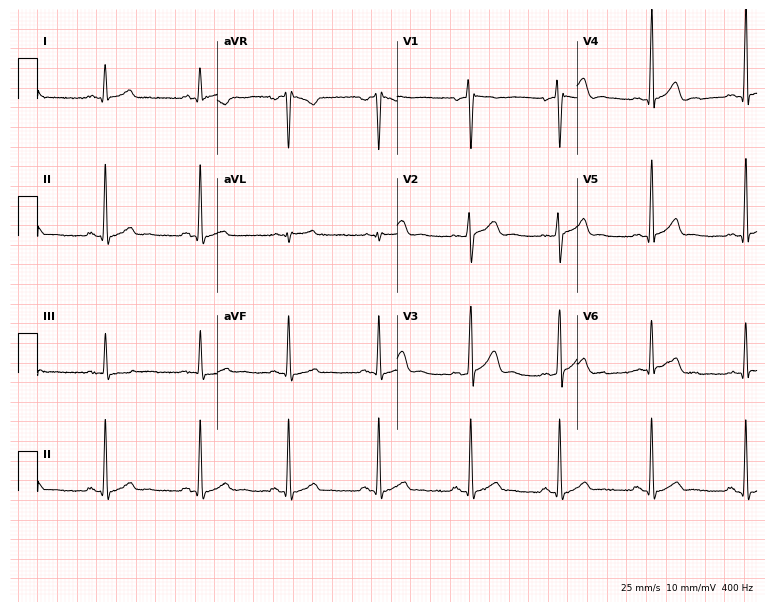
ECG — a 22-year-old male patient. Labelled as a normal ECG.